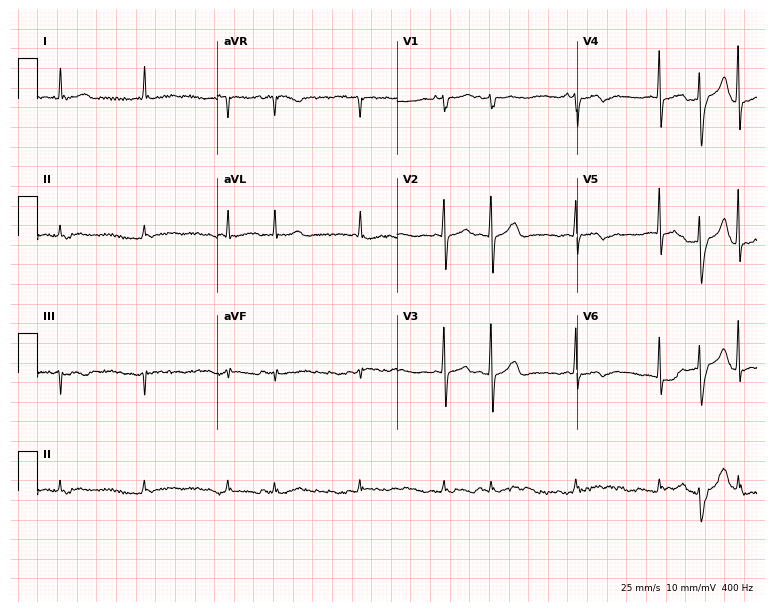
12-lead ECG from a 76-year-old woman. Screened for six findings — first-degree AV block, right bundle branch block, left bundle branch block, sinus bradycardia, atrial fibrillation, sinus tachycardia — none is recorded. Other findings, if any, are not listed.